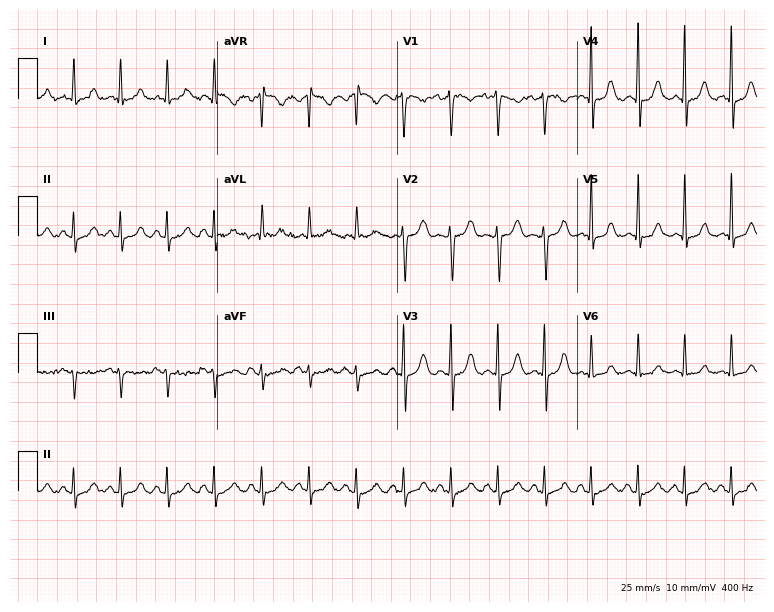
12-lead ECG from a woman, 31 years old. Findings include sinus tachycardia (a sinus rate of 100 beats per minute or more).